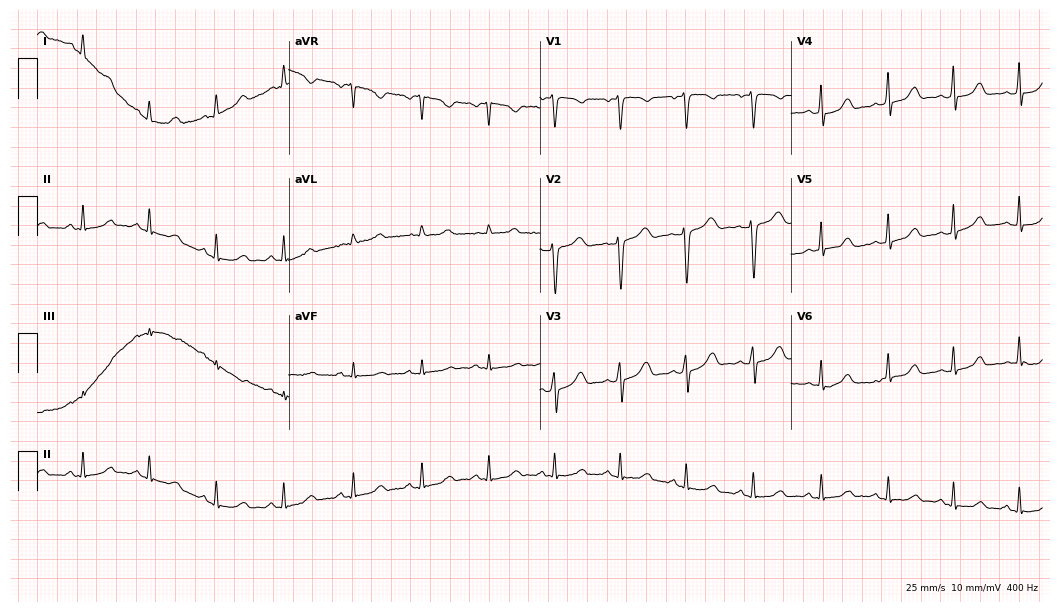
12-lead ECG from a woman, 30 years old. No first-degree AV block, right bundle branch block, left bundle branch block, sinus bradycardia, atrial fibrillation or sinus tachycardia recorded for this tracing.